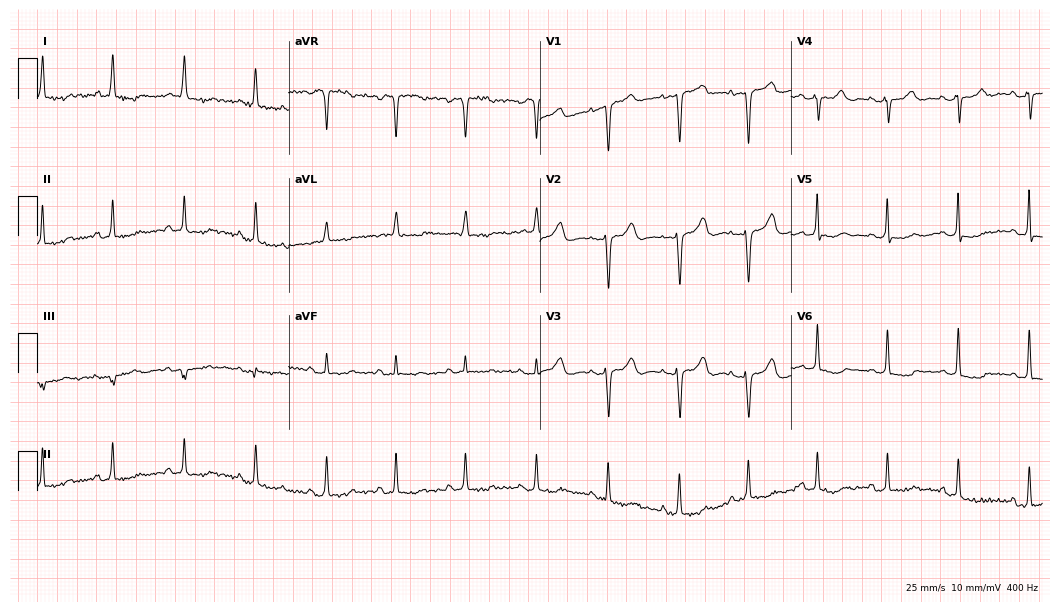
Resting 12-lead electrocardiogram. Patient: a 77-year-old female. None of these six findings is recorded: first-degree AV block, right bundle branch block, left bundle branch block, sinus bradycardia, atrial fibrillation, sinus tachycardia.